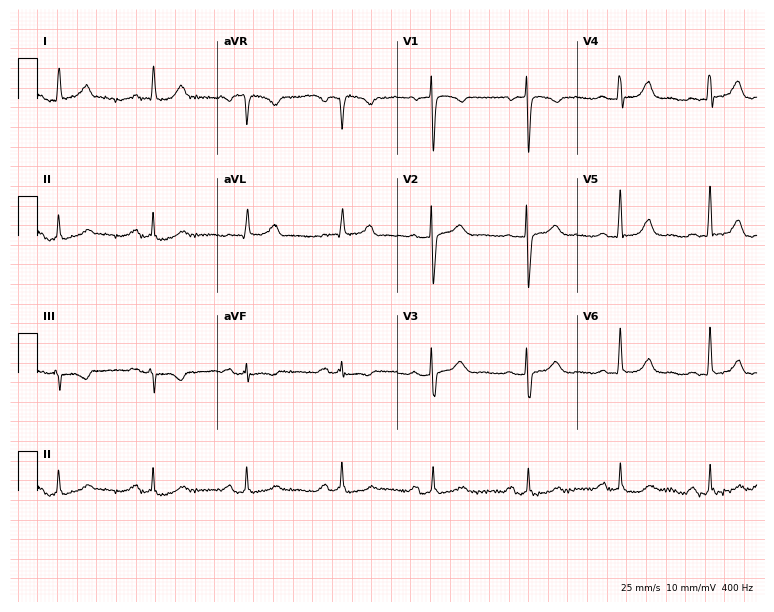
Standard 12-lead ECG recorded from an 82-year-old female (7.3-second recording at 400 Hz). None of these six findings is recorded: first-degree AV block, right bundle branch block, left bundle branch block, sinus bradycardia, atrial fibrillation, sinus tachycardia.